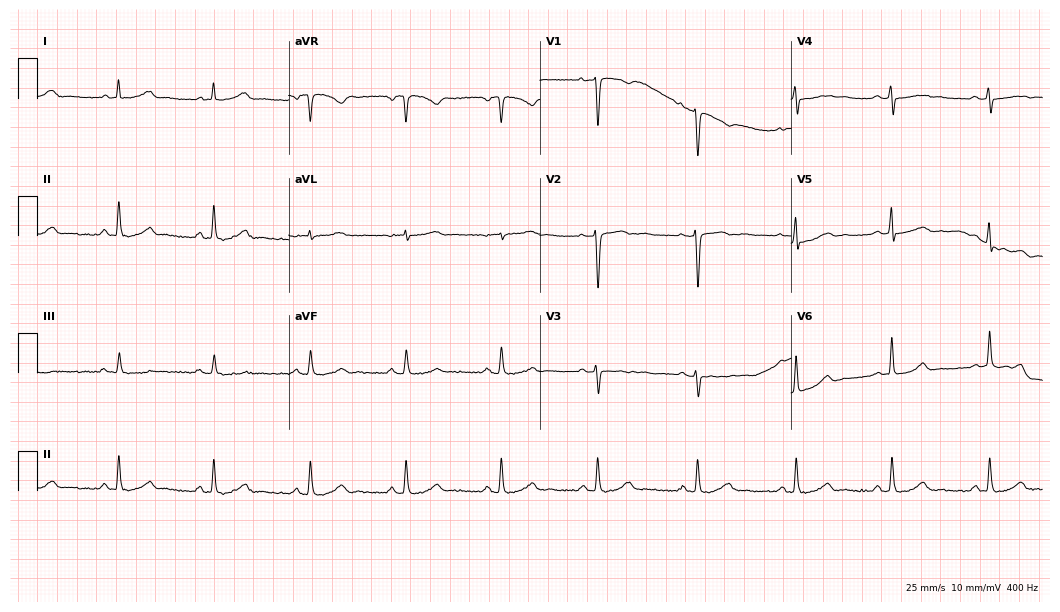
Standard 12-lead ECG recorded from a 43-year-old female (10.2-second recording at 400 Hz). None of these six findings is recorded: first-degree AV block, right bundle branch block, left bundle branch block, sinus bradycardia, atrial fibrillation, sinus tachycardia.